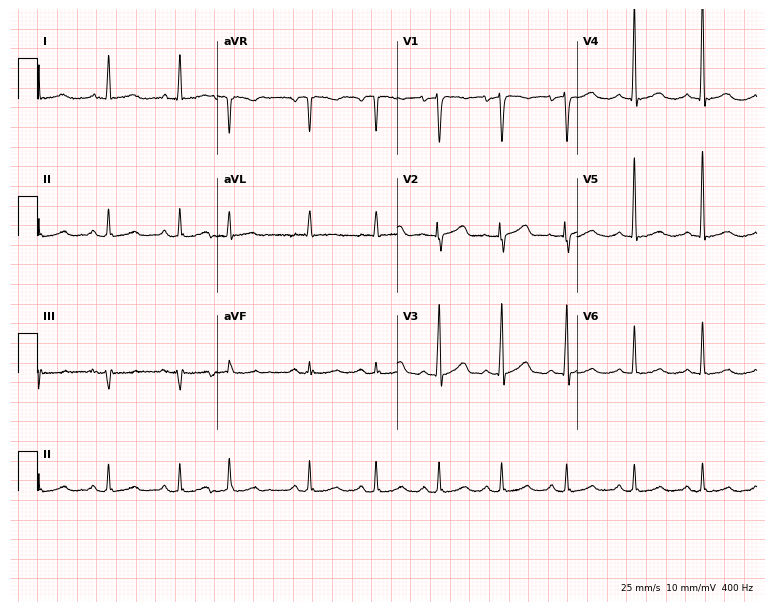
12-lead ECG from a 73-year-old woman. No first-degree AV block, right bundle branch block, left bundle branch block, sinus bradycardia, atrial fibrillation or sinus tachycardia recorded for this tracing.